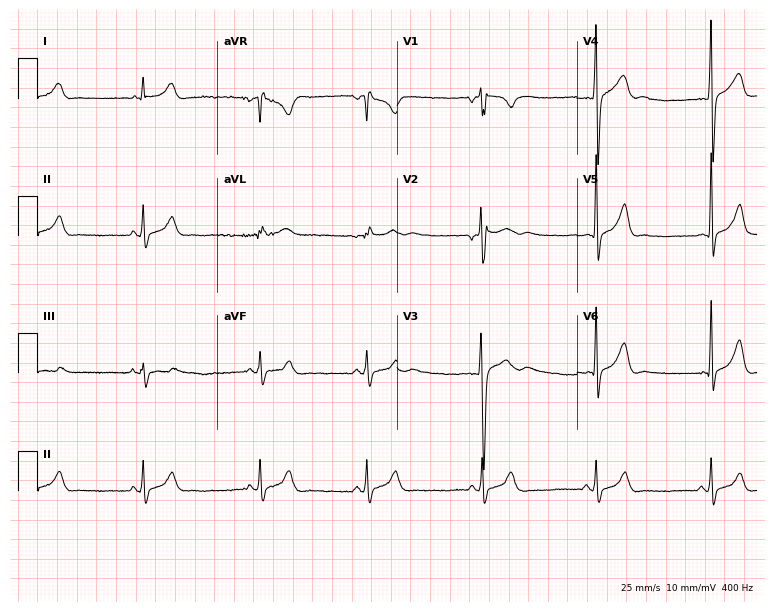
Standard 12-lead ECG recorded from a man, 18 years old (7.3-second recording at 400 Hz). Read as a normal ECG.